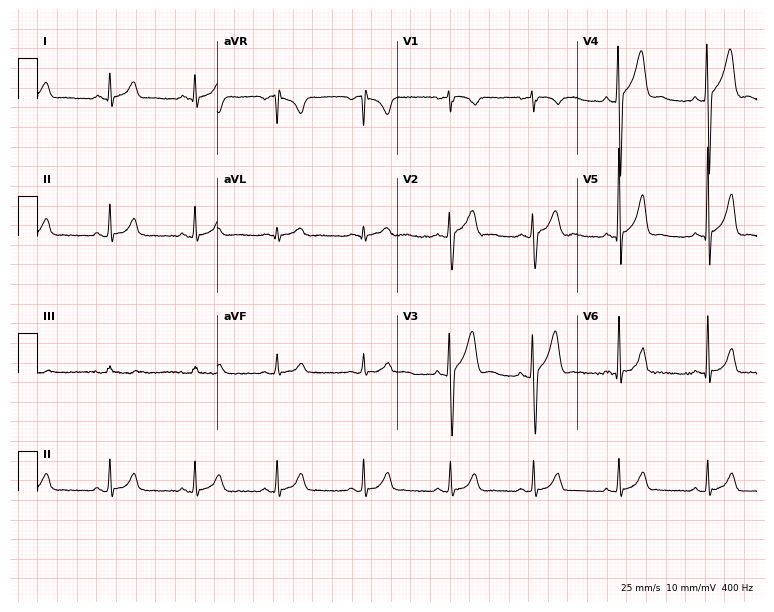
Standard 12-lead ECG recorded from a male, 24 years old. Read as a normal ECG.